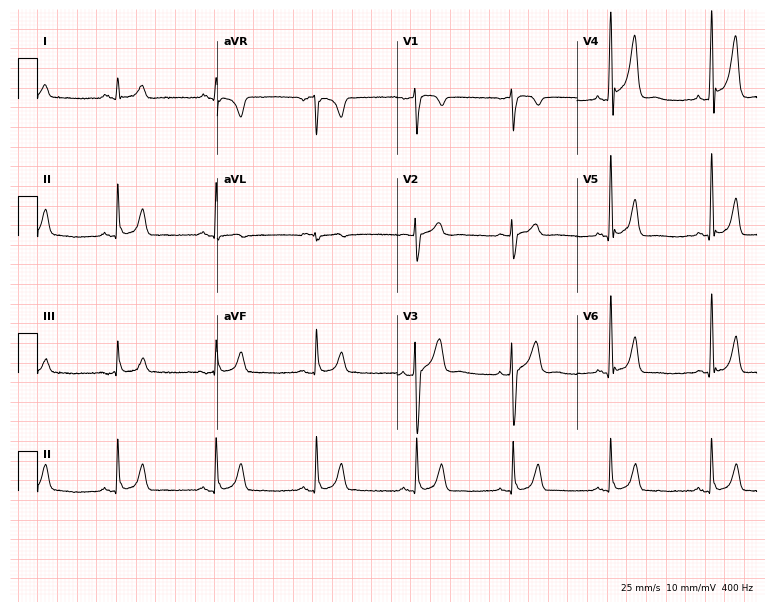
Electrocardiogram (7.3-second recording at 400 Hz), a man, 42 years old. Overall reading on record: normal ECG.